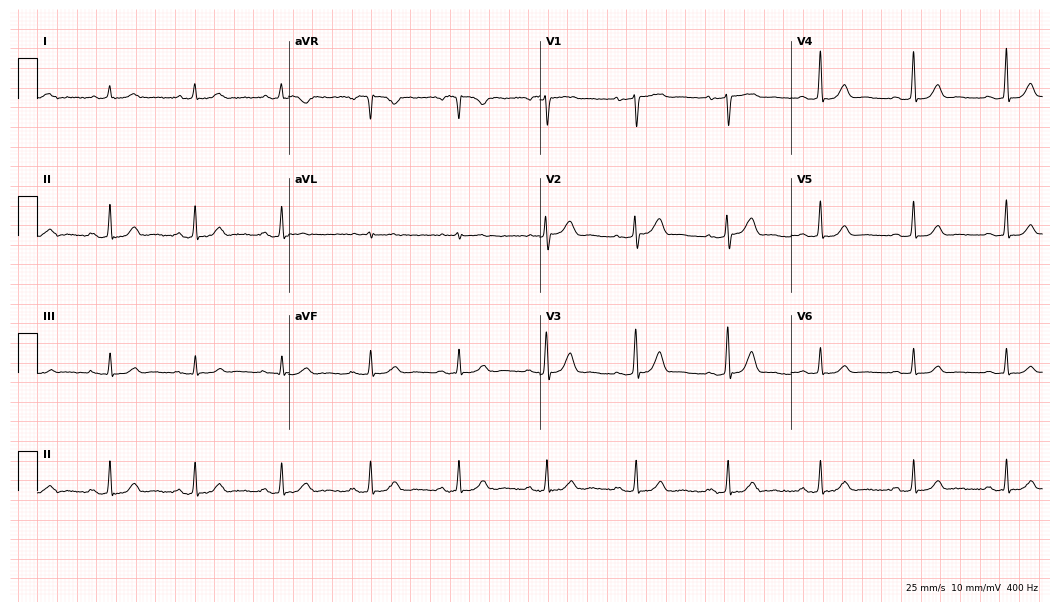
Resting 12-lead electrocardiogram. Patient: a woman, 39 years old. Read as a normal ECG.